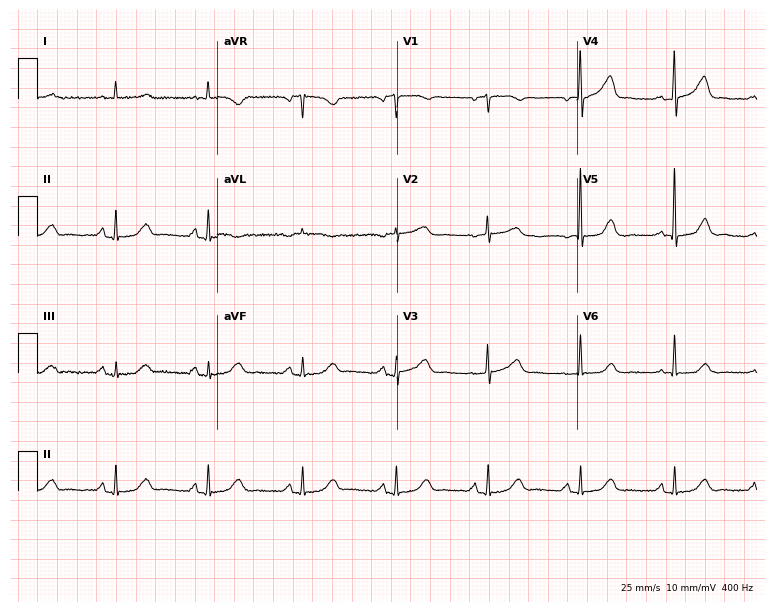
12-lead ECG from a female patient, 67 years old. Recorded interpretation: within normal limits.